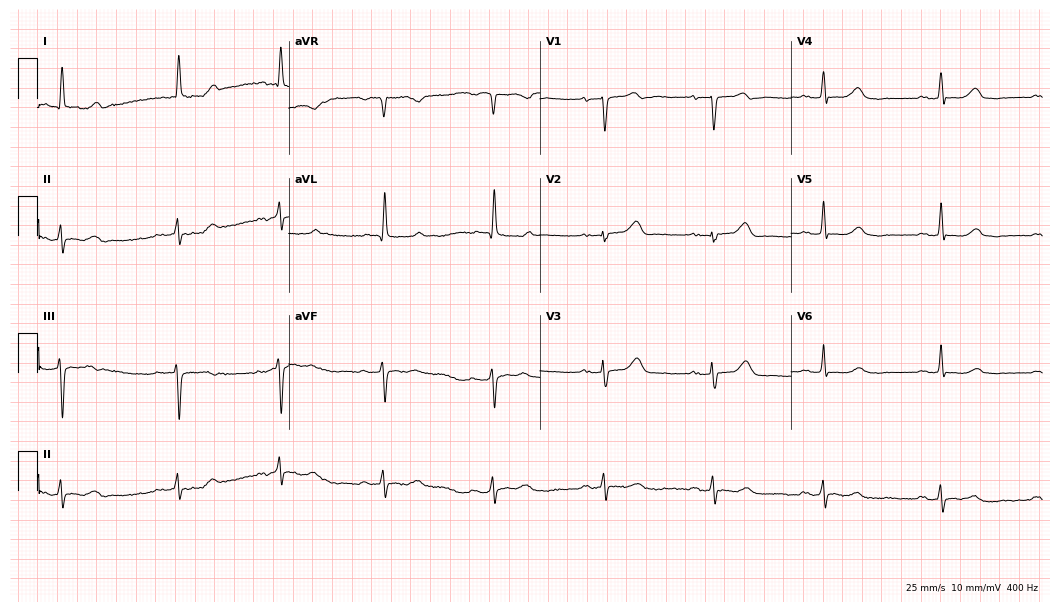
Electrocardiogram, an 84-year-old female. Of the six screened findings (first-degree AV block, right bundle branch block, left bundle branch block, sinus bradycardia, atrial fibrillation, sinus tachycardia), none is recorded.